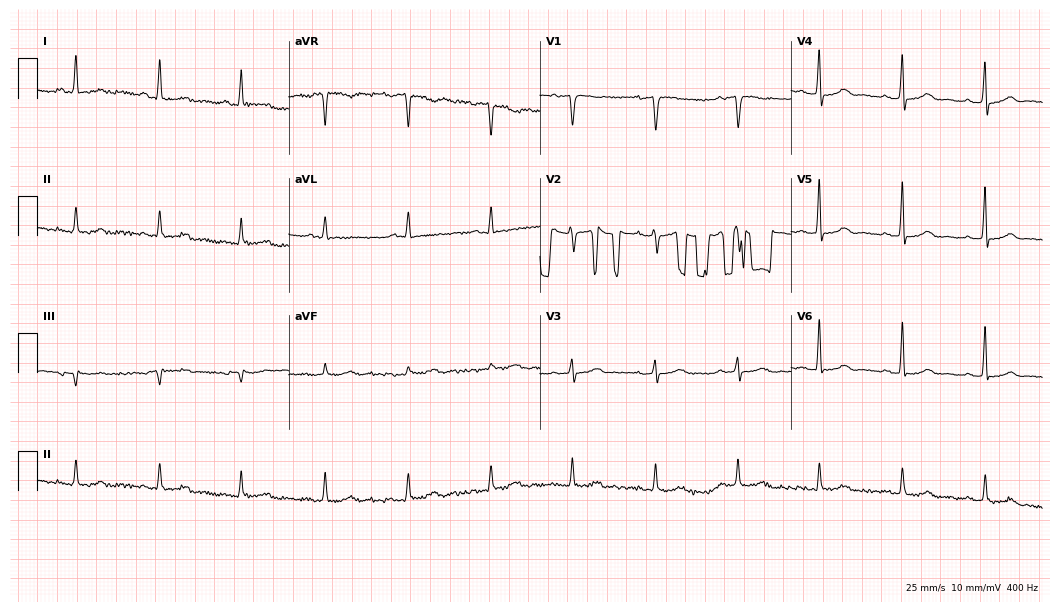
Resting 12-lead electrocardiogram (10.2-second recording at 400 Hz). Patient: a 74-year-old female. Read as a normal ECG.